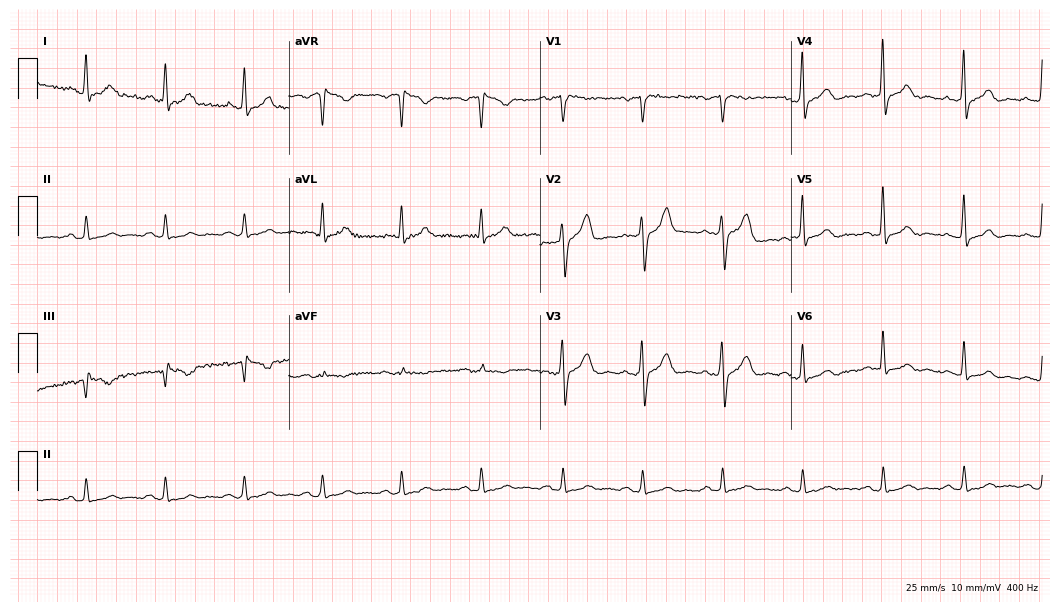
12-lead ECG (10.2-second recording at 400 Hz) from a man, 64 years old. Labelled as a normal ECG.